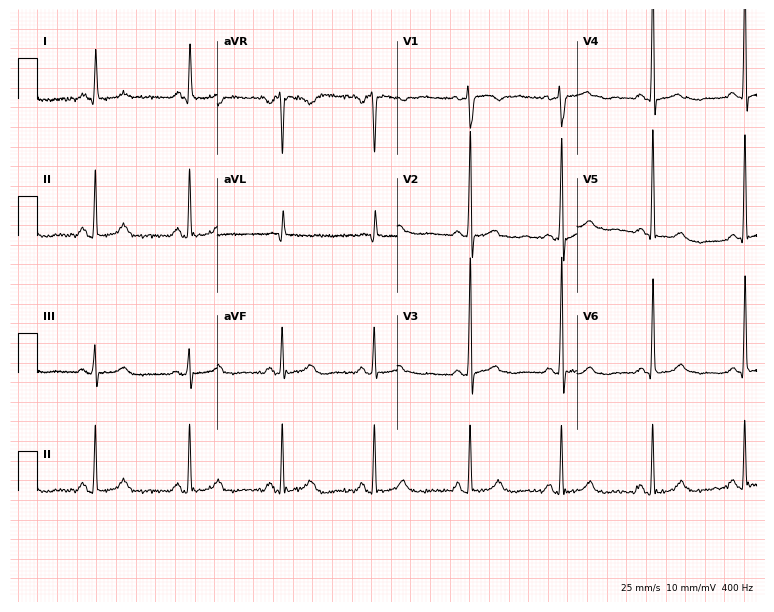
12-lead ECG from a woman, 56 years old (7.3-second recording at 400 Hz). No first-degree AV block, right bundle branch block, left bundle branch block, sinus bradycardia, atrial fibrillation or sinus tachycardia recorded for this tracing.